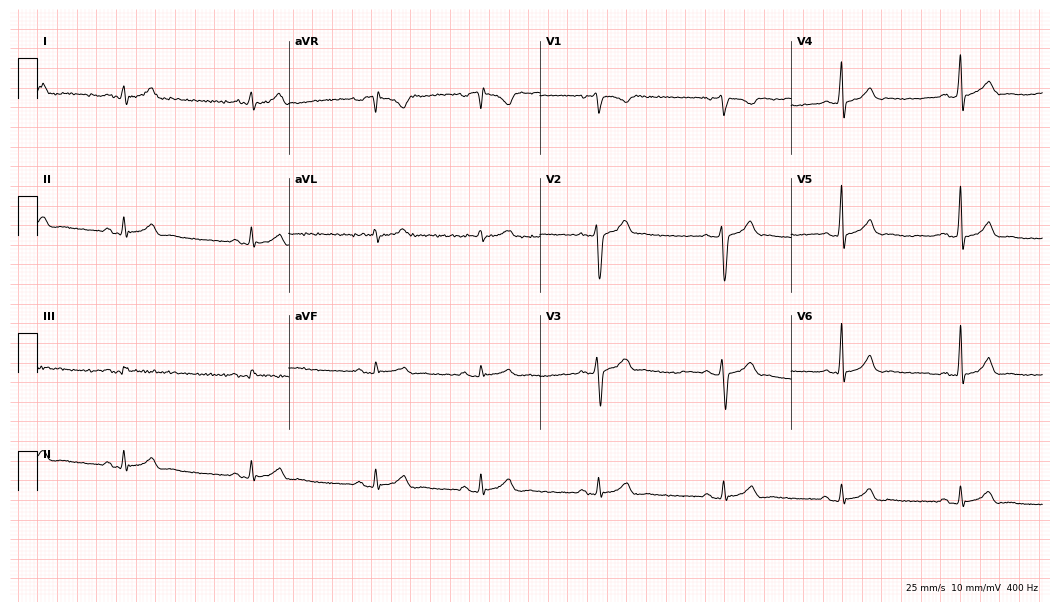
ECG — a male patient, 31 years old. Findings include right bundle branch block, sinus bradycardia (a sinus rate of 50 beats per minute or less).